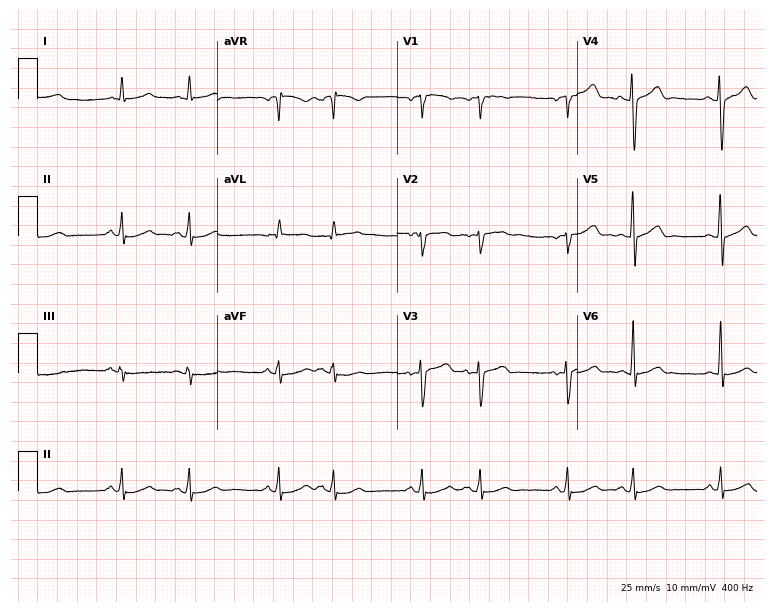
ECG (7.3-second recording at 400 Hz) — a male, 72 years old. Screened for six findings — first-degree AV block, right bundle branch block, left bundle branch block, sinus bradycardia, atrial fibrillation, sinus tachycardia — none is recorded. Other findings, if any, are not listed.